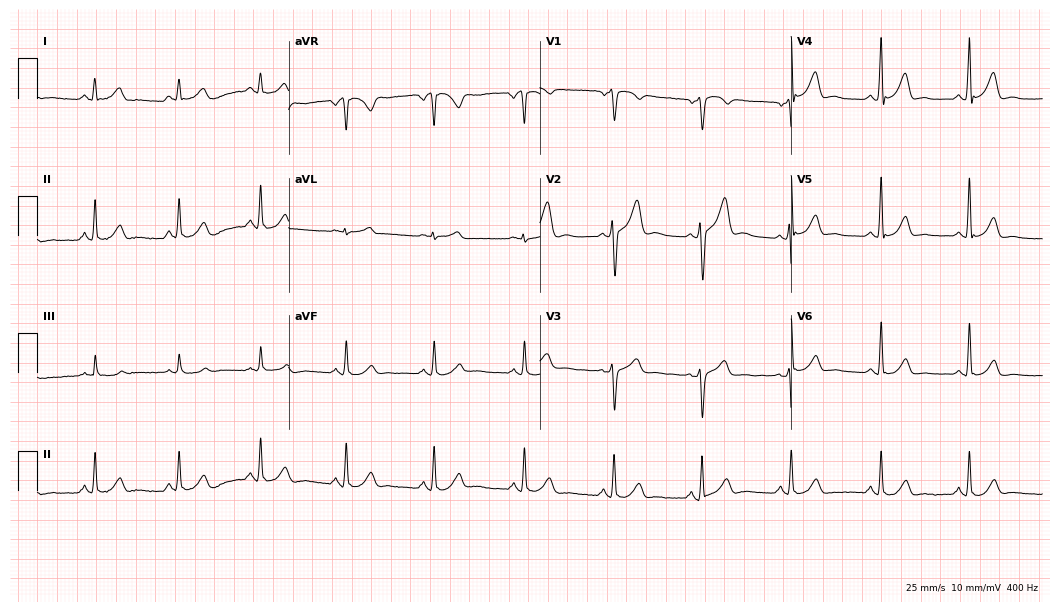
ECG — a male patient, 35 years old. Screened for six findings — first-degree AV block, right bundle branch block (RBBB), left bundle branch block (LBBB), sinus bradycardia, atrial fibrillation (AF), sinus tachycardia — none is recorded.